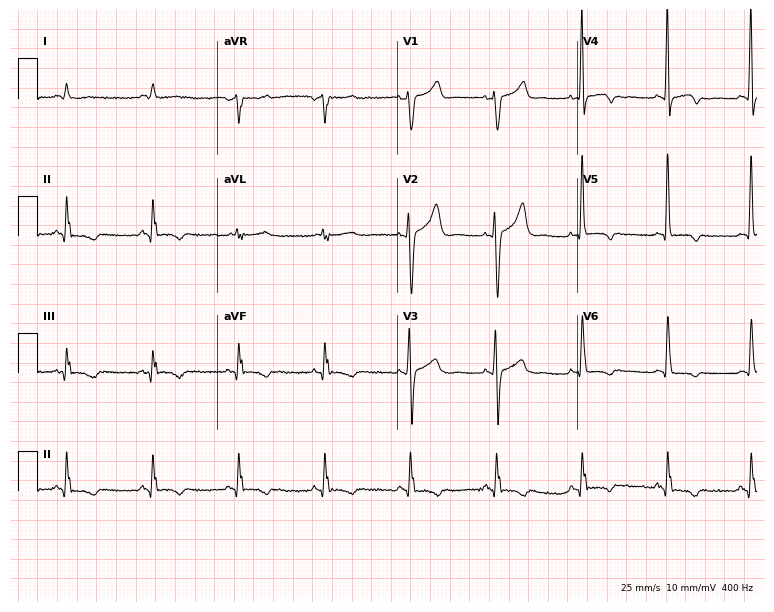
12-lead ECG from a 62-year-old male patient. No first-degree AV block, right bundle branch block (RBBB), left bundle branch block (LBBB), sinus bradycardia, atrial fibrillation (AF) or sinus tachycardia recorded for this tracing.